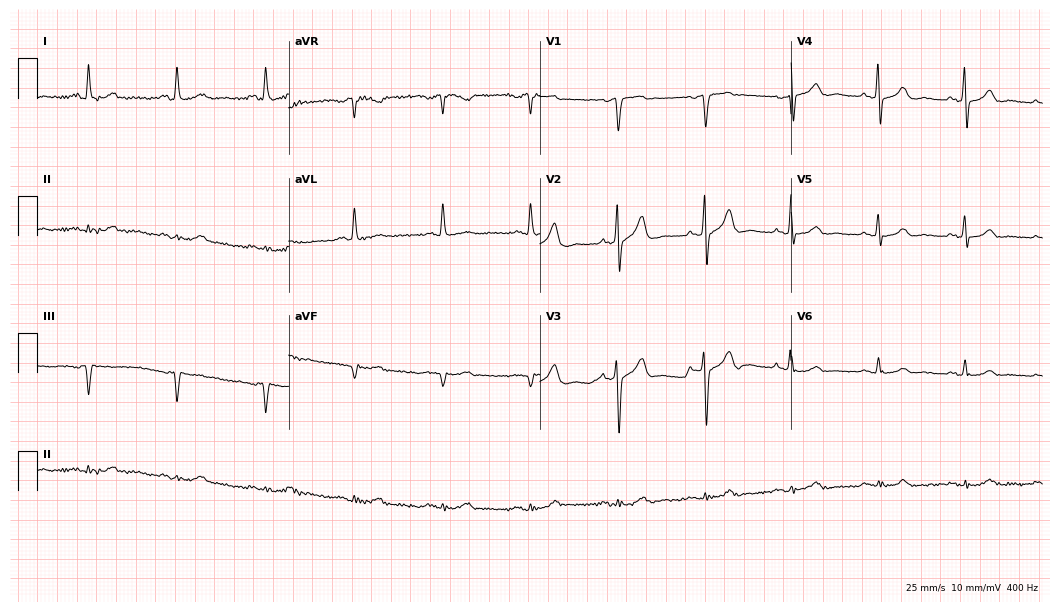
Electrocardiogram (10.2-second recording at 400 Hz), a man, 79 years old. Overall reading on record: normal ECG.